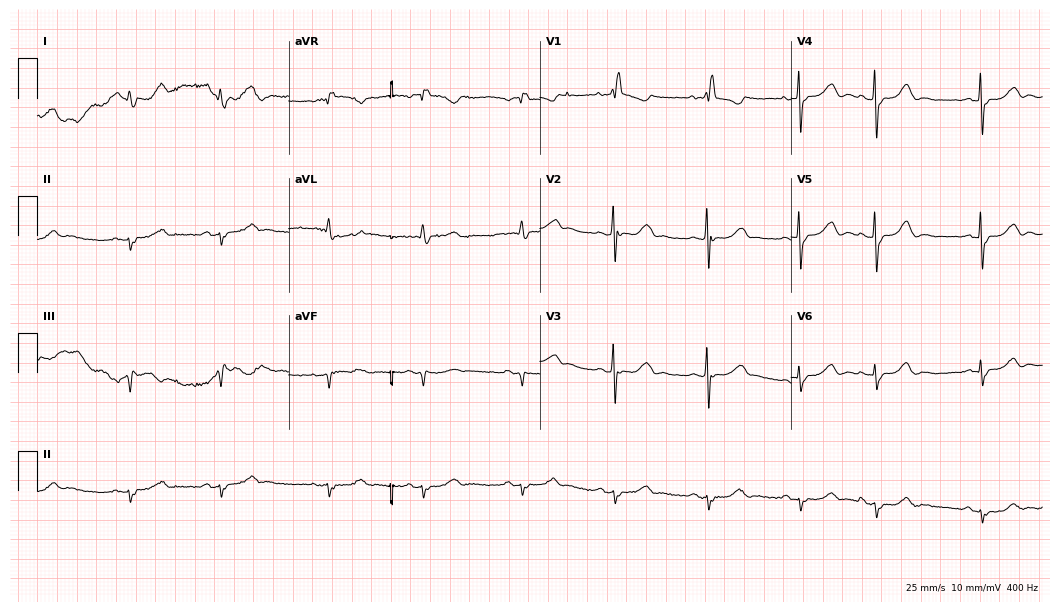
Standard 12-lead ECG recorded from an 83-year-old female patient. None of these six findings is recorded: first-degree AV block, right bundle branch block, left bundle branch block, sinus bradycardia, atrial fibrillation, sinus tachycardia. Findings outside these six are not listed.